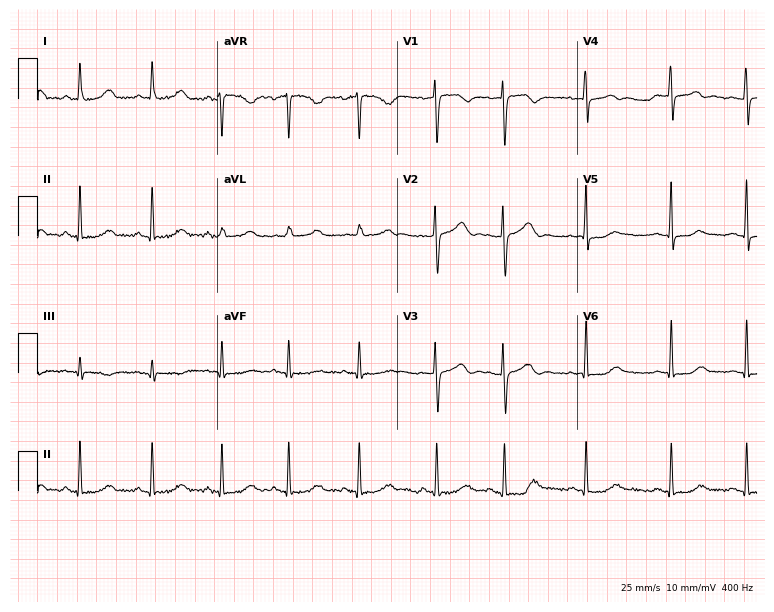
12-lead ECG from a 29-year-old female (7.3-second recording at 400 Hz). Recorded interpretation: within normal limits.